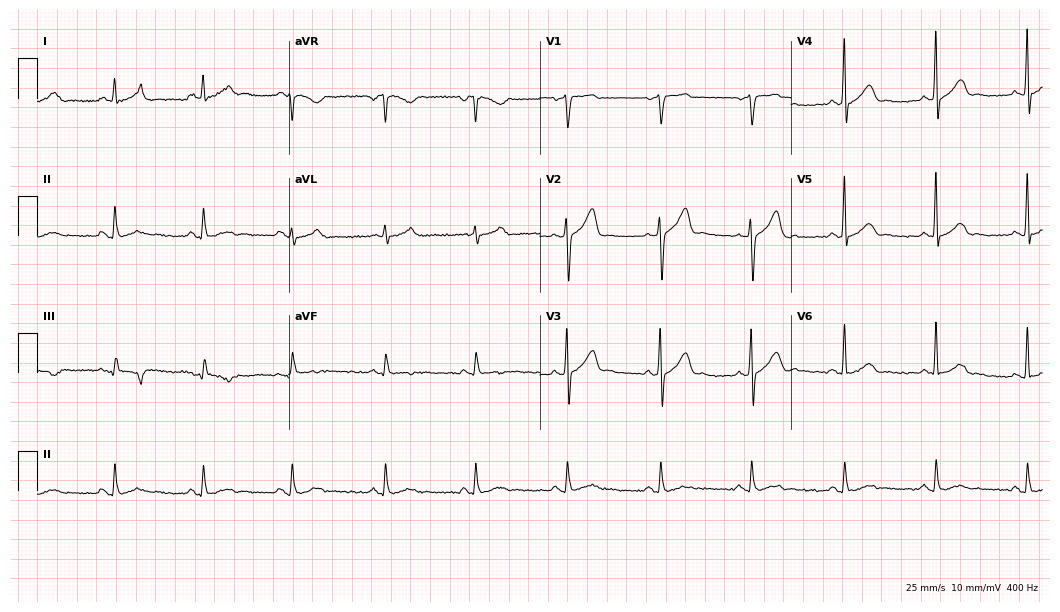
Resting 12-lead electrocardiogram (10.2-second recording at 400 Hz). Patient: a male, 62 years old. Read as a normal ECG.